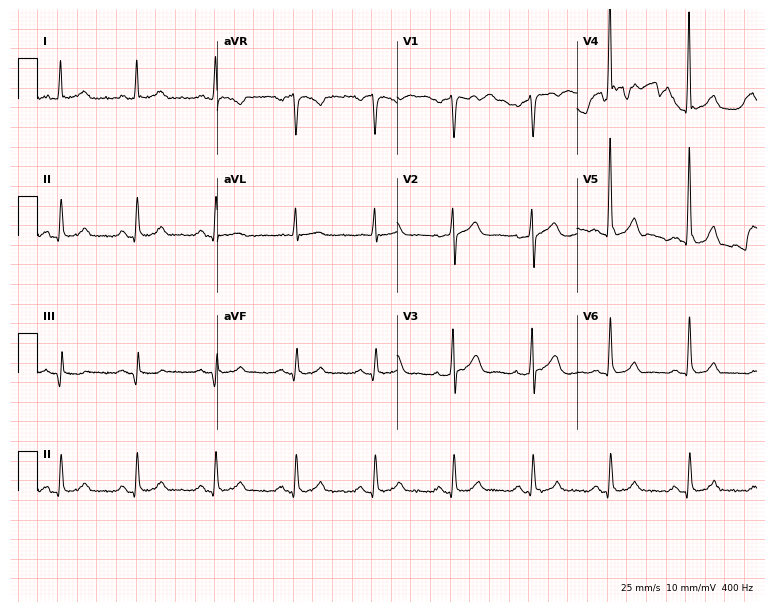
Electrocardiogram (7.3-second recording at 400 Hz), a 50-year-old male. Of the six screened findings (first-degree AV block, right bundle branch block, left bundle branch block, sinus bradycardia, atrial fibrillation, sinus tachycardia), none is recorded. Other findings, if any, are not listed.